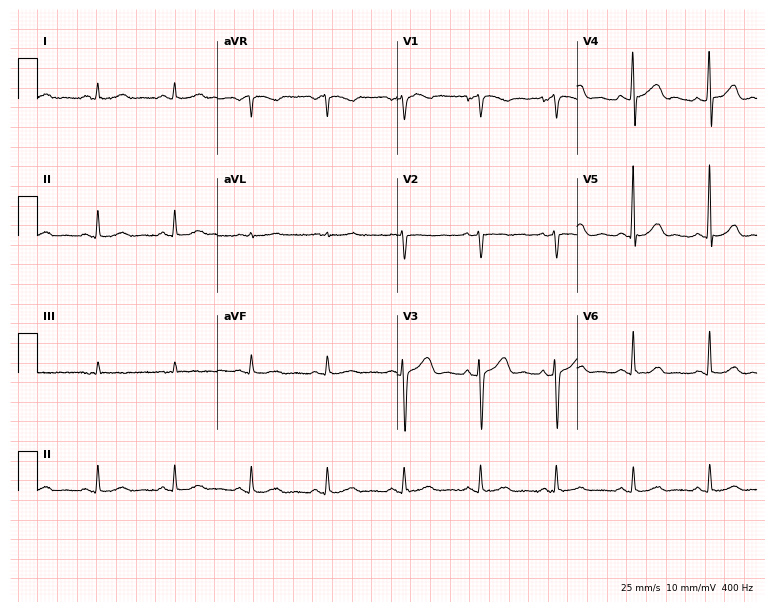
12-lead ECG (7.3-second recording at 400 Hz) from a 58-year-old man. Labelled as a normal ECG.